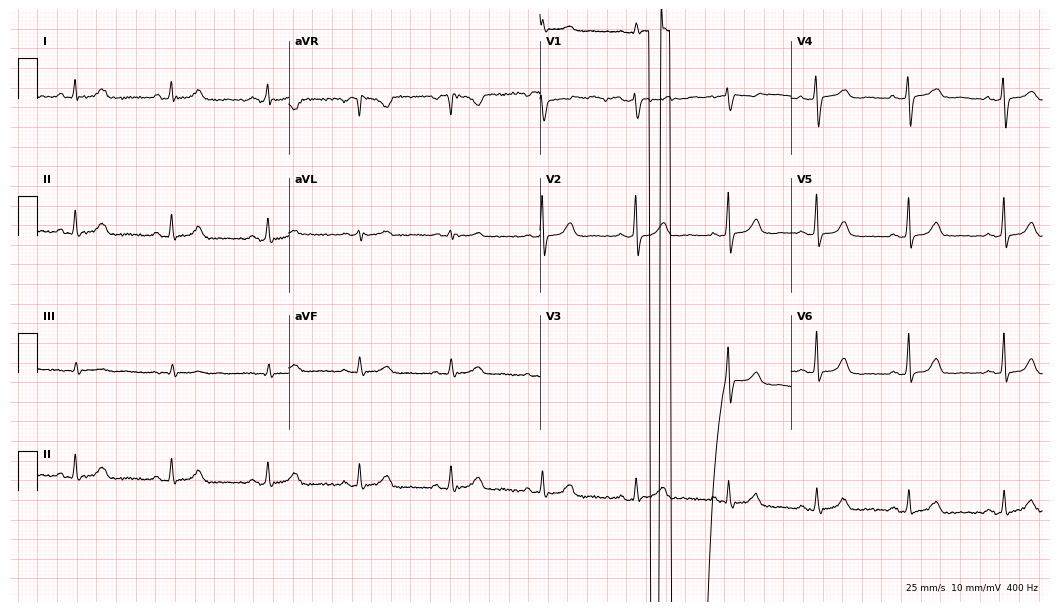
Standard 12-lead ECG recorded from a woman, 52 years old. Read as a normal ECG.